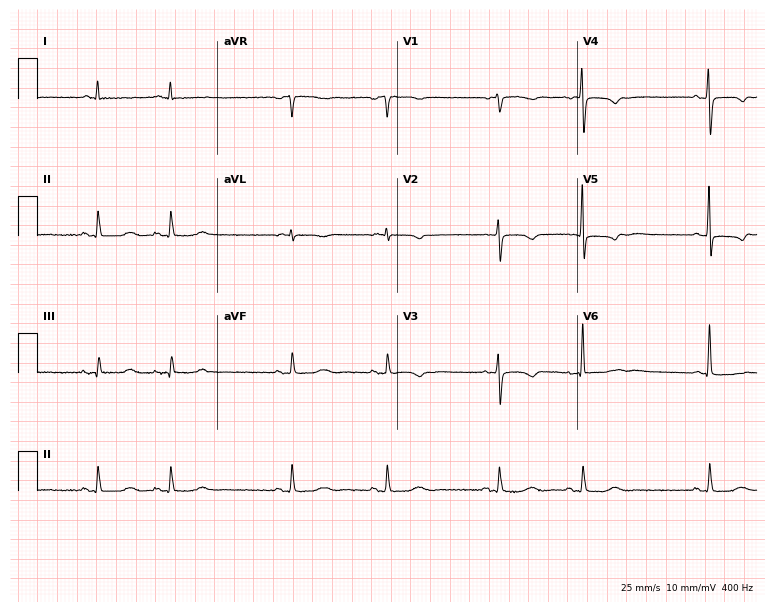
12-lead ECG from a female, 85 years old (7.3-second recording at 400 Hz). No first-degree AV block, right bundle branch block (RBBB), left bundle branch block (LBBB), sinus bradycardia, atrial fibrillation (AF) or sinus tachycardia recorded for this tracing.